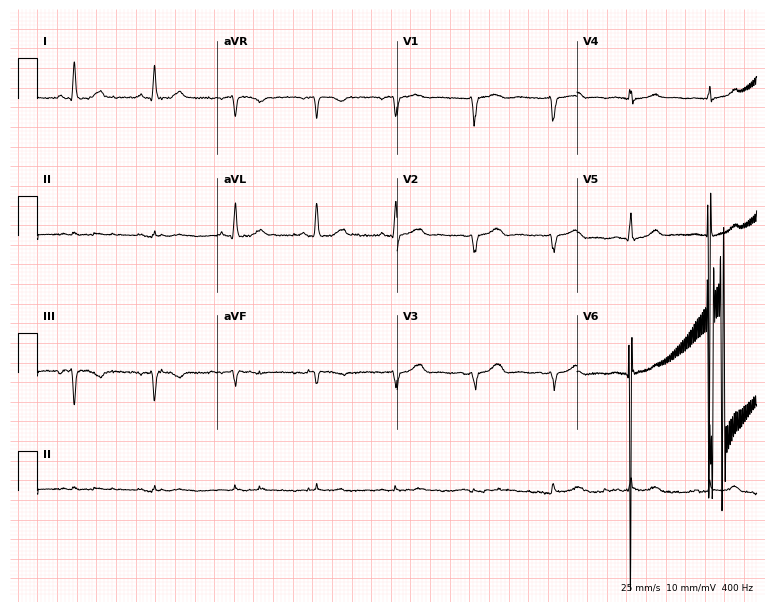
Standard 12-lead ECG recorded from a female, 60 years old. None of these six findings is recorded: first-degree AV block, right bundle branch block, left bundle branch block, sinus bradycardia, atrial fibrillation, sinus tachycardia. Findings outside these six are not listed.